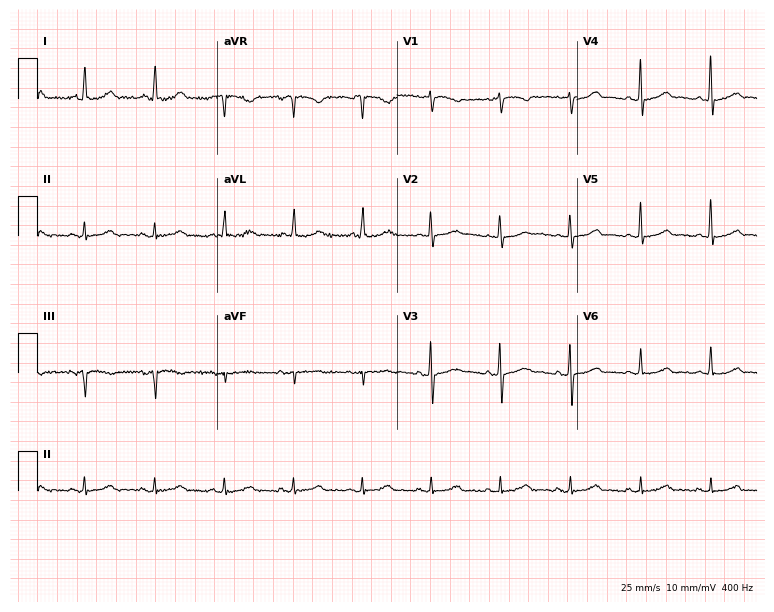
Standard 12-lead ECG recorded from a female patient, 64 years old (7.3-second recording at 400 Hz). Read as a normal ECG.